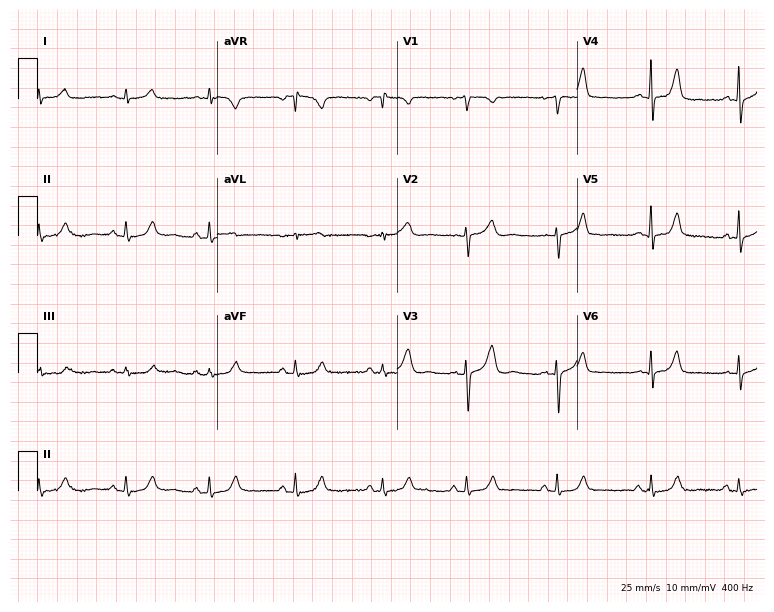
Electrocardiogram, a female, 51 years old. Overall reading on record: normal ECG.